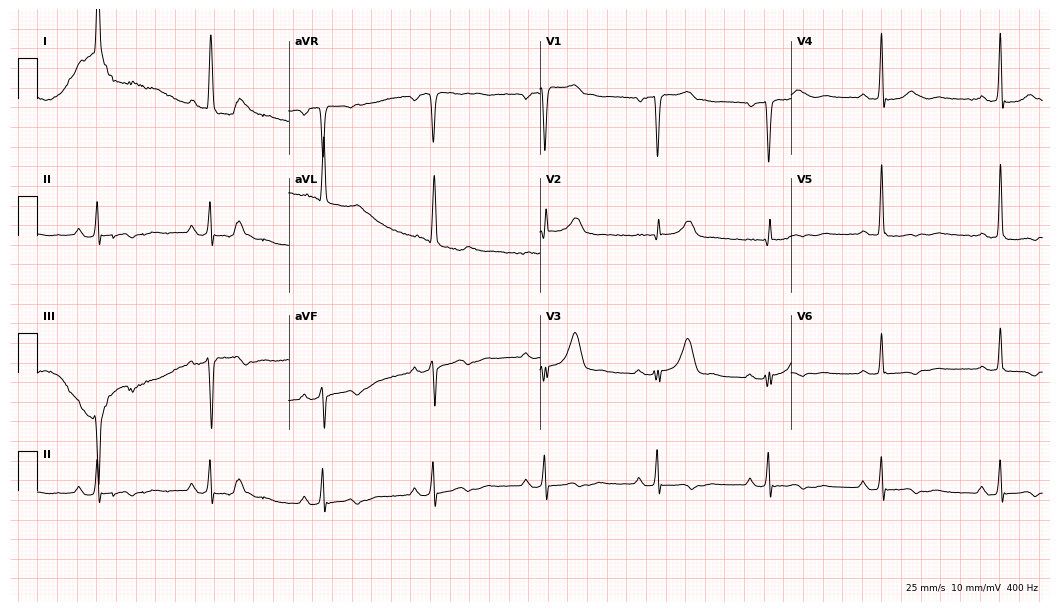
Electrocardiogram (10.2-second recording at 400 Hz), a 75-year-old female patient. Of the six screened findings (first-degree AV block, right bundle branch block (RBBB), left bundle branch block (LBBB), sinus bradycardia, atrial fibrillation (AF), sinus tachycardia), none is recorded. Other findings, if any, are not listed.